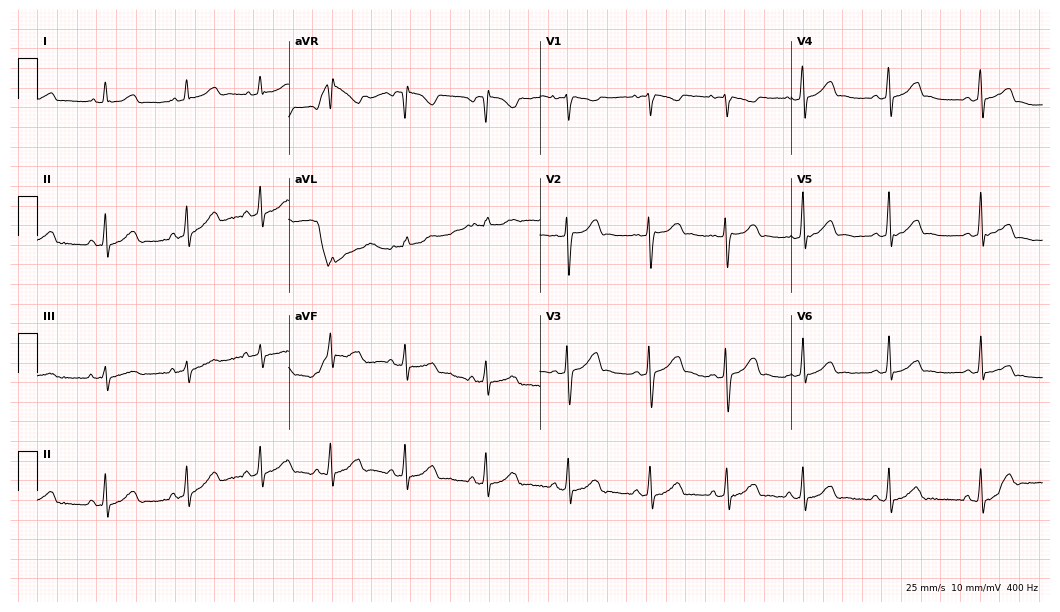
Resting 12-lead electrocardiogram (10.2-second recording at 400 Hz). Patient: a 24-year-old female. Read as a normal ECG.